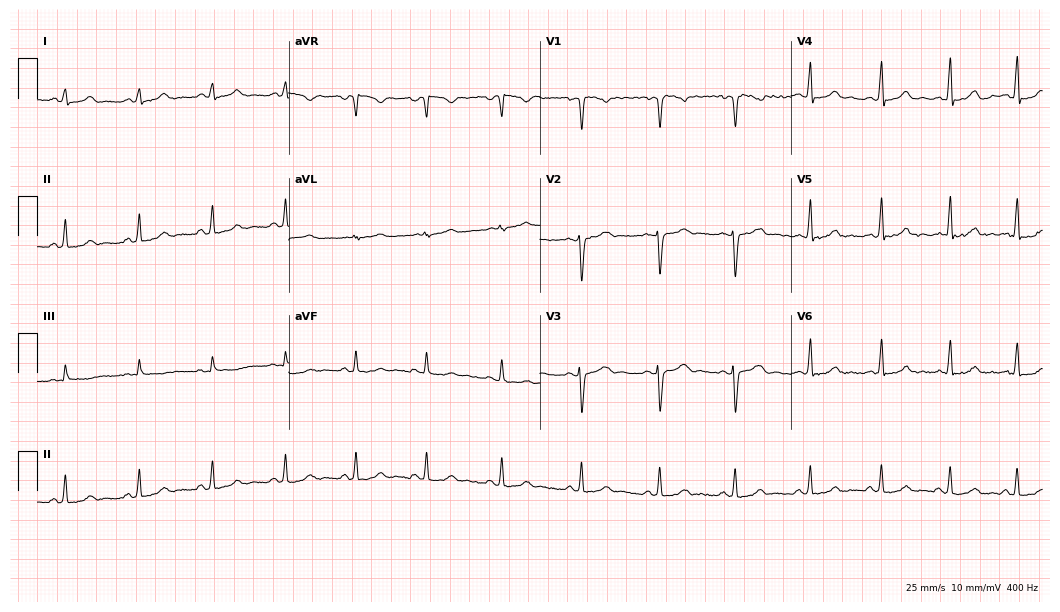
Resting 12-lead electrocardiogram. Patient: a female, 21 years old. None of these six findings is recorded: first-degree AV block, right bundle branch block, left bundle branch block, sinus bradycardia, atrial fibrillation, sinus tachycardia. Only these six findings were labelled.